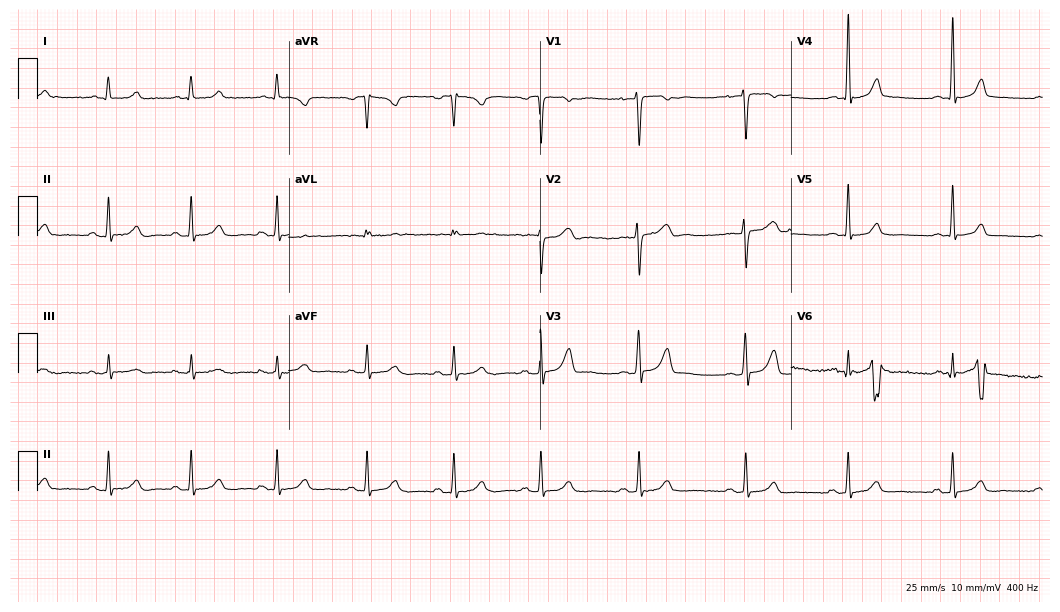
Standard 12-lead ECG recorded from a female patient, 26 years old. None of these six findings is recorded: first-degree AV block, right bundle branch block (RBBB), left bundle branch block (LBBB), sinus bradycardia, atrial fibrillation (AF), sinus tachycardia. Other findings, if any, are not listed.